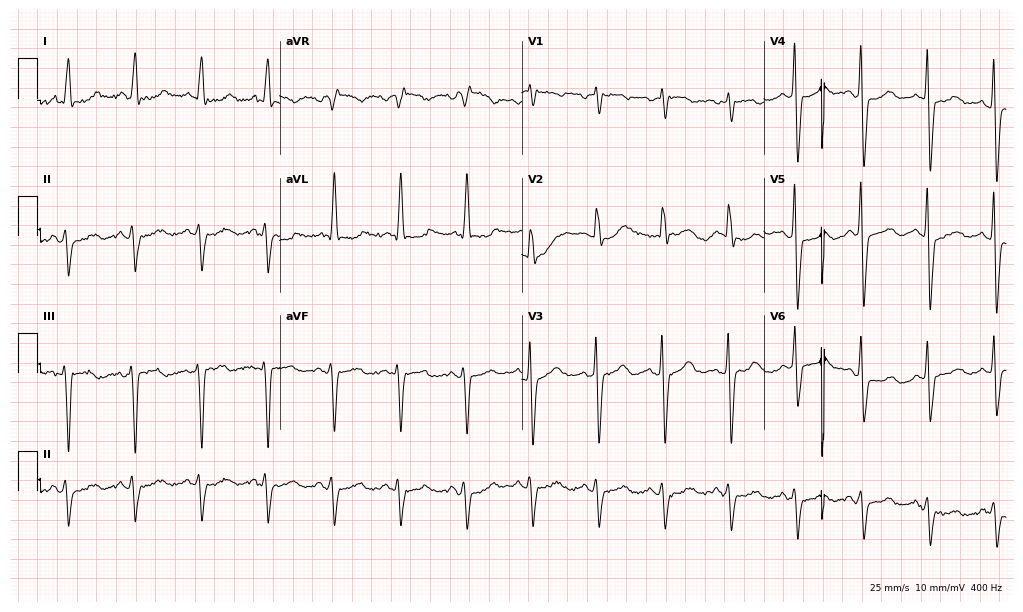
12-lead ECG from a male patient, 83 years old. No first-degree AV block, right bundle branch block, left bundle branch block, sinus bradycardia, atrial fibrillation or sinus tachycardia recorded for this tracing.